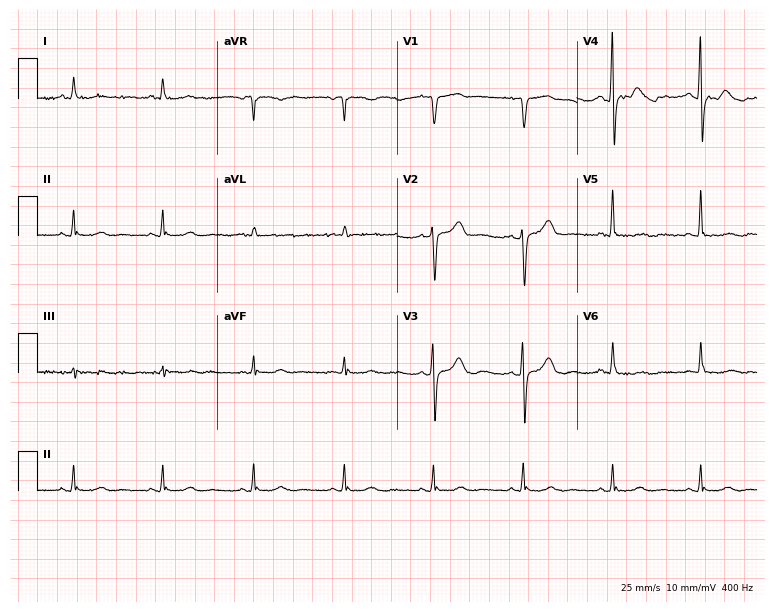
Standard 12-lead ECG recorded from a man, 81 years old (7.3-second recording at 400 Hz). None of these six findings is recorded: first-degree AV block, right bundle branch block (RBBB), left bundle branch block (LBBB), sinus bradycardia, atrial fibrillation (AF), sinus tachycardia.